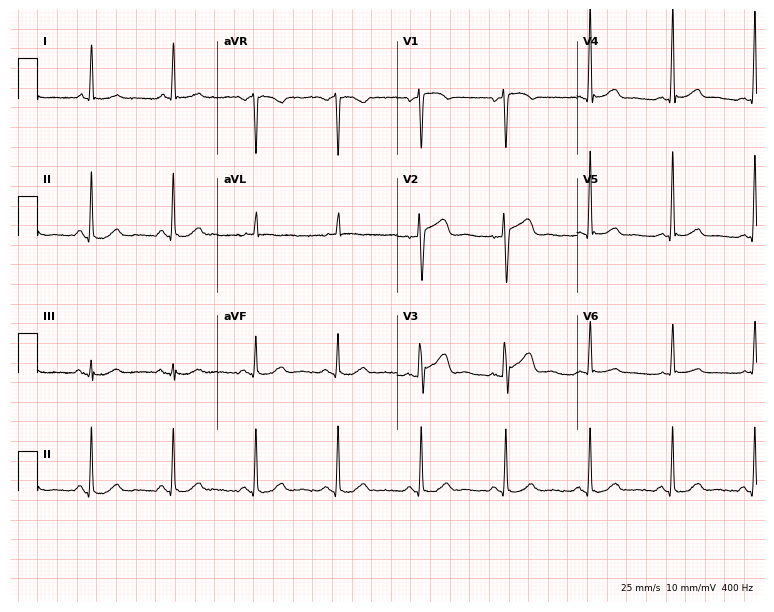
Standard 12-lead ECG recorded from a 76-year-old male (7.3-second recording at 400 Hz). Read as a normal ECG.